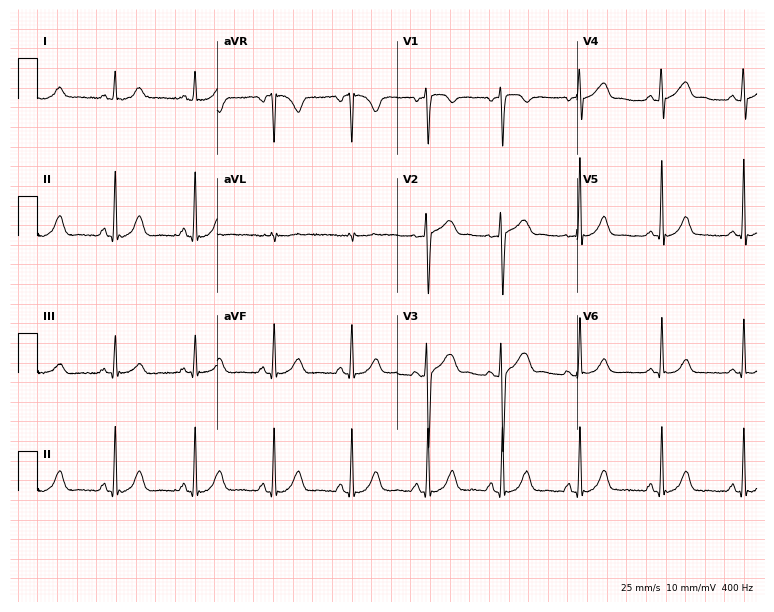
12-lead ECG from a female, 52 years old. Screened for six findings — first-degree AV block, right bundle branch block, left bundle branch block, sinus bradycardia, atrial fibrillation, sinus tachycardia — none is recorded.